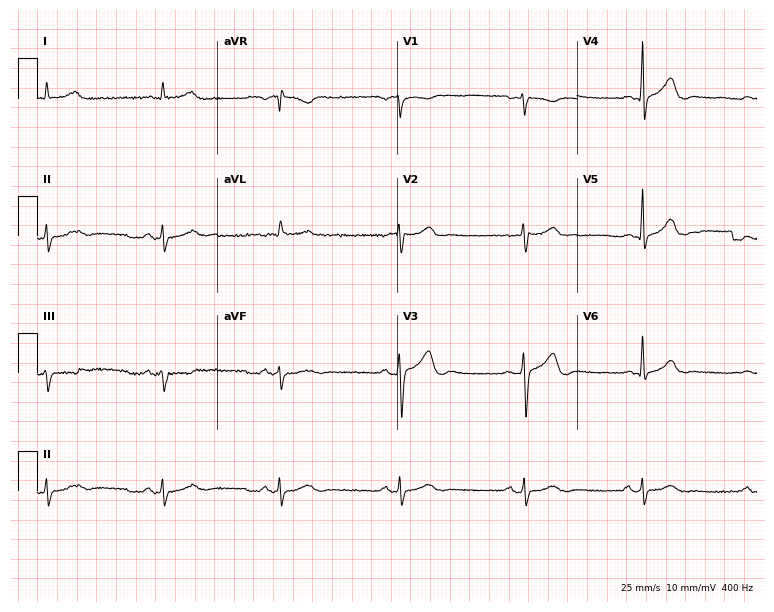
Electrocardiogram, a 51-year-old man. Interpretation includes sinus bradycardia (a sinus rate of 50 beats per minute or less).